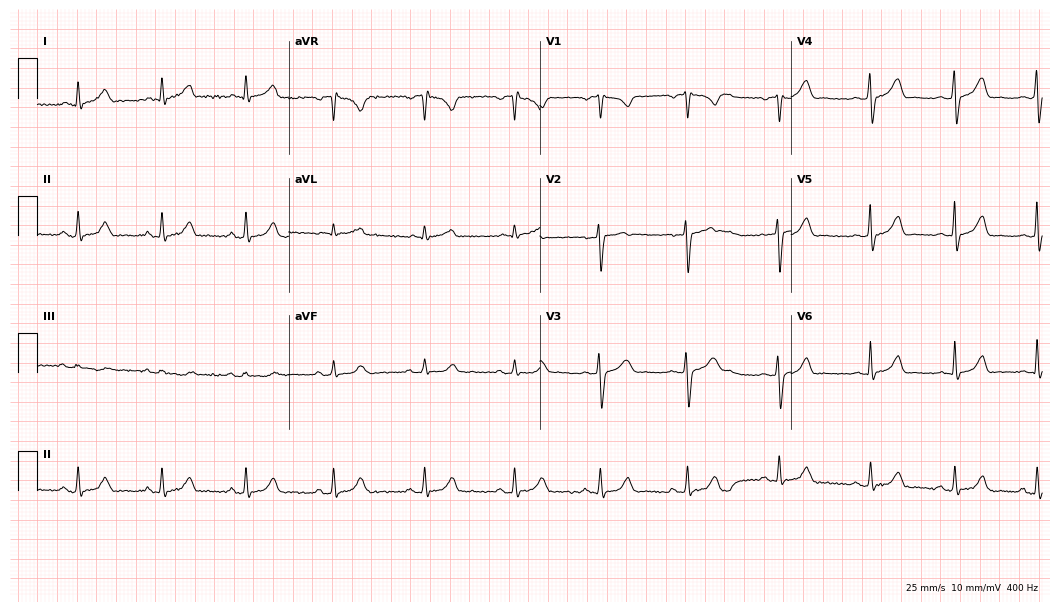
ECG — a woman, 32 years old. Labelled as a normal ECG.